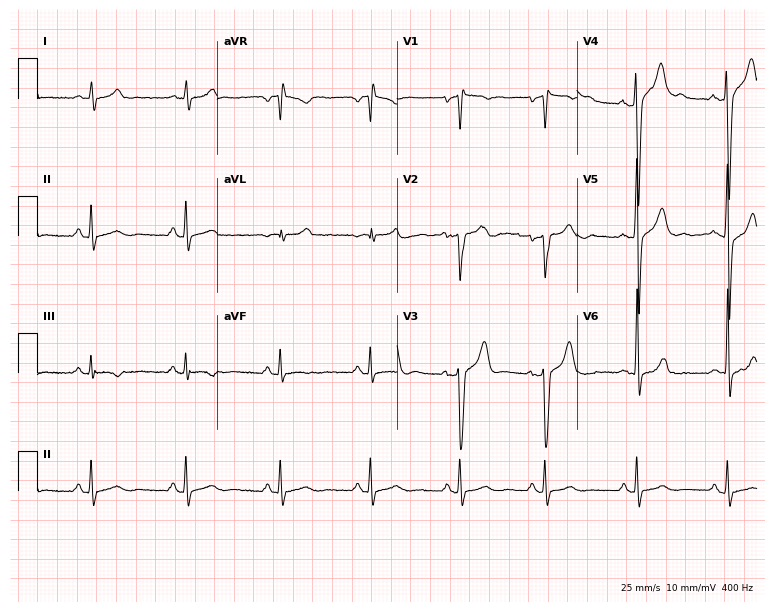
12-lead ECG from a man, 36 years old. Screened for six findings — first-degree AV block, right bundle branch block (RBBB), left bundle branch block (LBBB), sinus bradycardia, atrial fibrillation (AF), sinus tachycardia — none is recorded. Other findings, if any, are not listed.